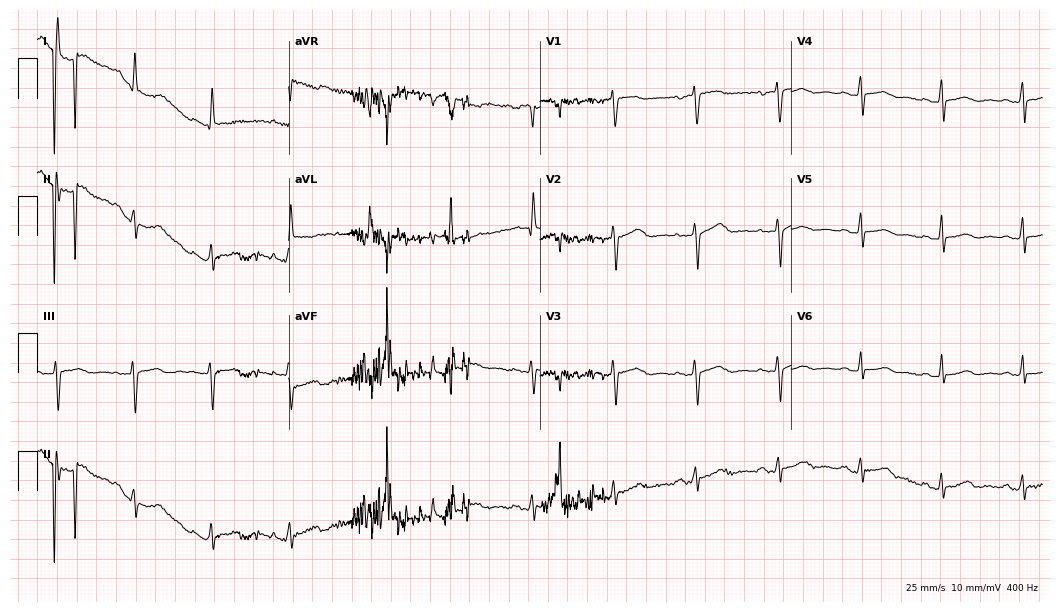
12-lead ECG (10.2-second recording at 400 Hz) from a 76-year-old female patient. Screened for six findings — first-degree AV block, right bundle branch block (RBBB), left bundle branch block (LBBB), sinus bradycardia, atrial fibrillation (AF), sinus tachycardia — none is recorded.